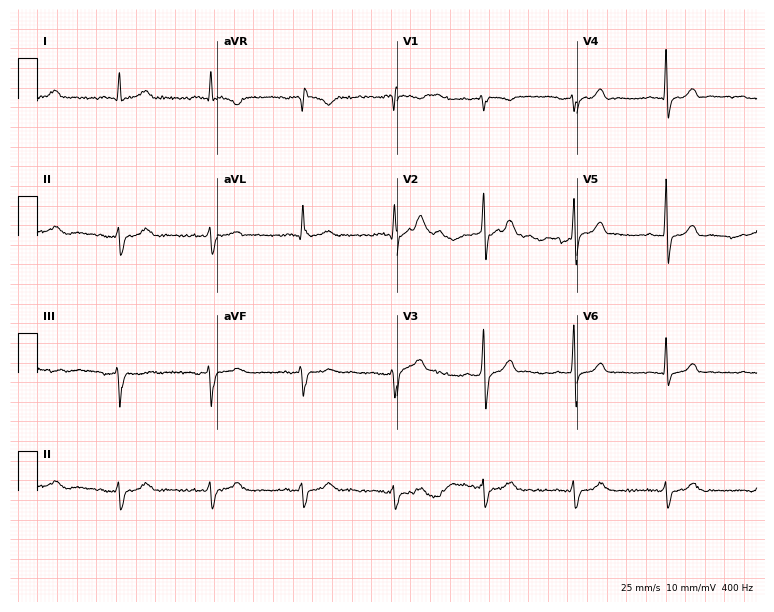
Resting 12-lead electrocardiogram (7.3-second recording at 400 Hz). Patient: a 53-year-old man. None of these six findings is recorded: first-degree AV block, right bundle branch block (RBBB), left bundle branch block (LBBB), sinus bradycardia, atrial fibrillation (AF), sinus tachycardia.